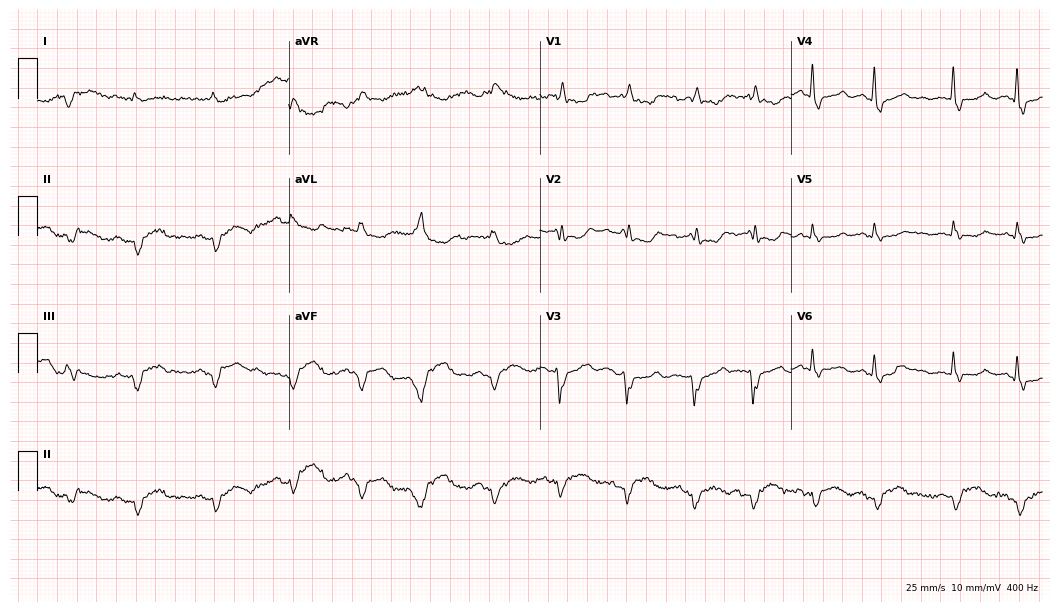
12-lead ECG from a woman, 70 years old. No first-degree AV block, right bundle branch block, left bundle branch block, sinus bradycardia, atrial fibrillation or sinus tachycardia recorded for this tracing. Only these six findings were labelled.